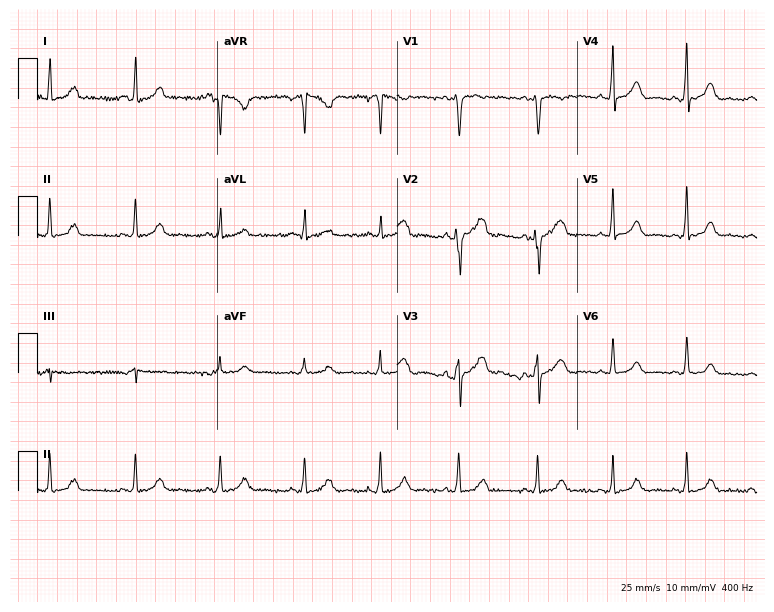
Standard 12-lead ECG recorded from a 20-year-old female (7.3-second recording at 400 Hz). None of these six findings is recorded: first-degree AV block, right bundle branch block, left bundle branch block, sinus bradycardia, atrial fibrillation, sinus tachycardia.